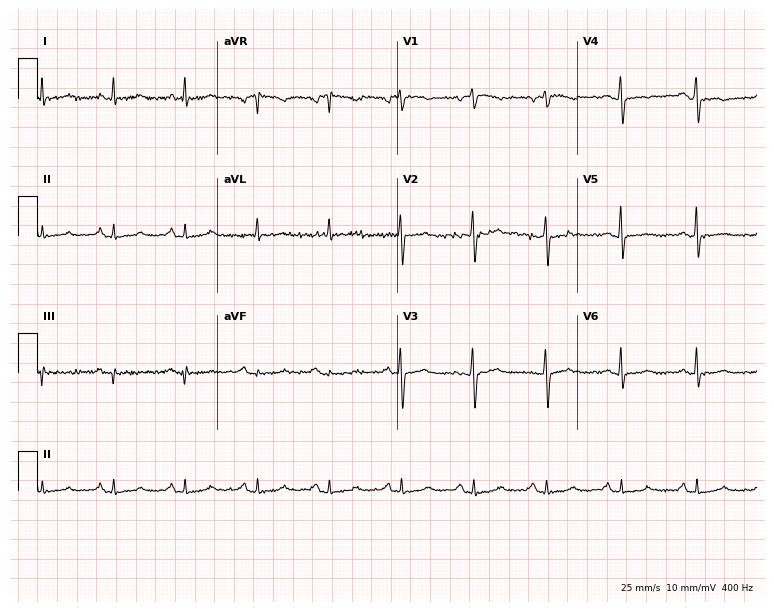
Standard 12-lead ECG recorded from a 50-year-old female patient (7.3-second recording at 400 Hz). None of these six findings is recorded: first-degree AV block, right bundle branch block (RBBB), left bundle branch block (LBBB), sinus bradycardia, atrial fibrillation (AF), sinus tachycardia.